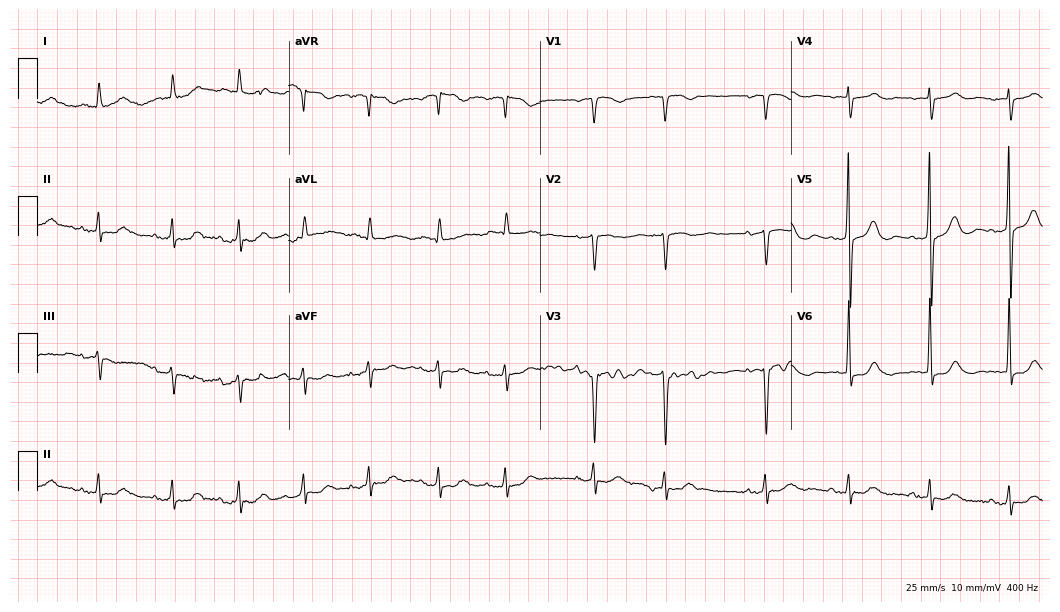
12-lead ECG from a 78-year-old female patient (10.2-second recording at 400 Hz). No first-degree AV block, right bundle branch block, left bundle branch block, sinus bradycardia, atrial fibrillation or sinus tachycardia recorded for this tracing. Other findings, if any, are not listed.